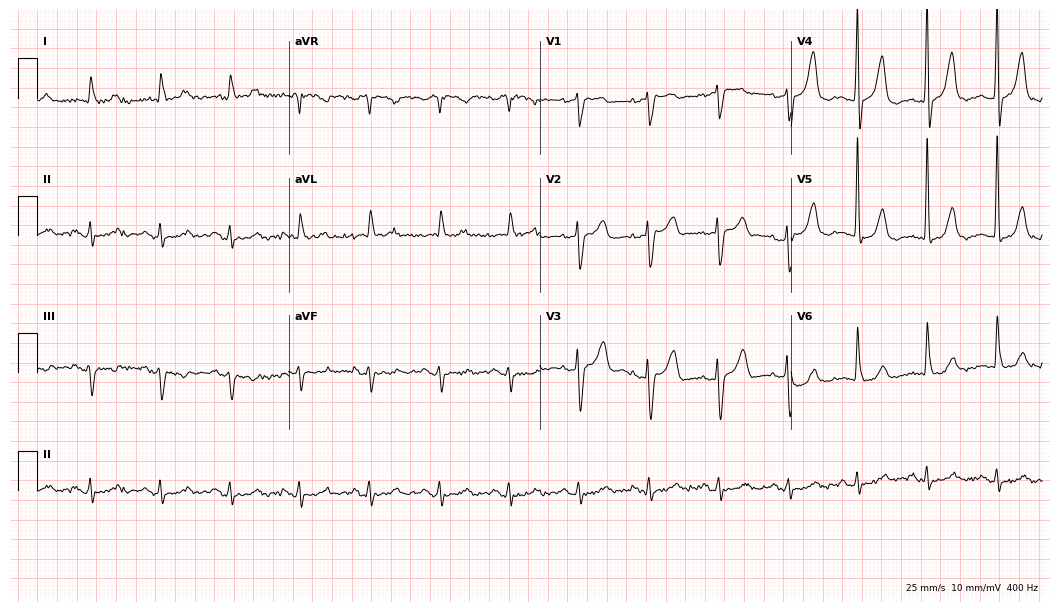
12-lead ECG from a female, 84 years old (10.2-second recording at 400 Hz). No first-degree AV block, right bundle branch block (RBBB), left bundle branch block (LBBB), sinus bradycardia, atrial fibrillation (AF) or sinus tachycardia recorded for this tracing. Findings outside these six are not listed.